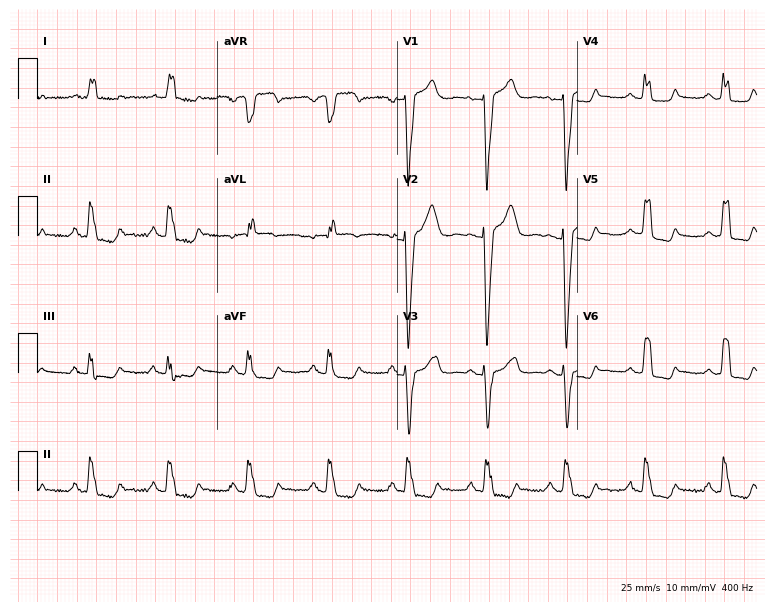
Standard 12-lead ECG recorded from a female, 59 years old (7.3-second recording at 400 Hz). The tracing shows left bundle branch block.